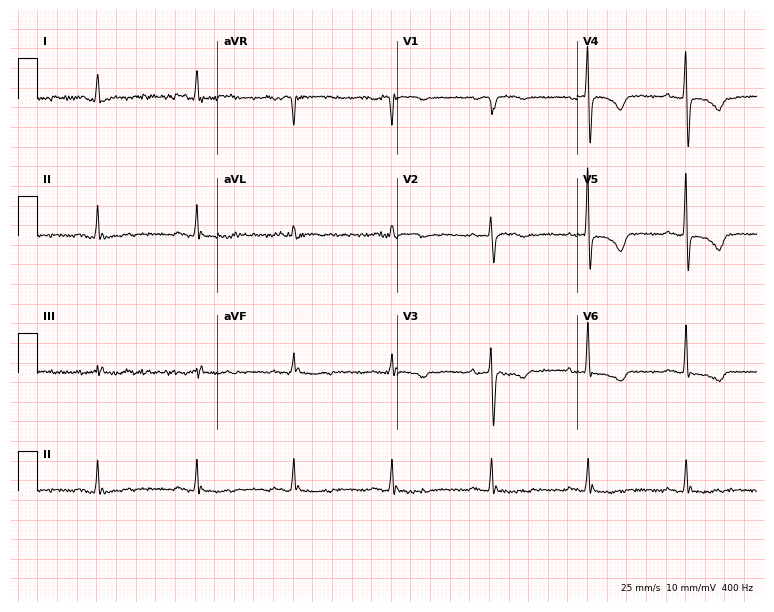
12-lead ECG from a female, 68 years old. No first-degree AV block, right bundle branch block, left bundle branch block, sinus bradycardia, atrial fibrillation or sinus tachycardia recorded for this tracing.